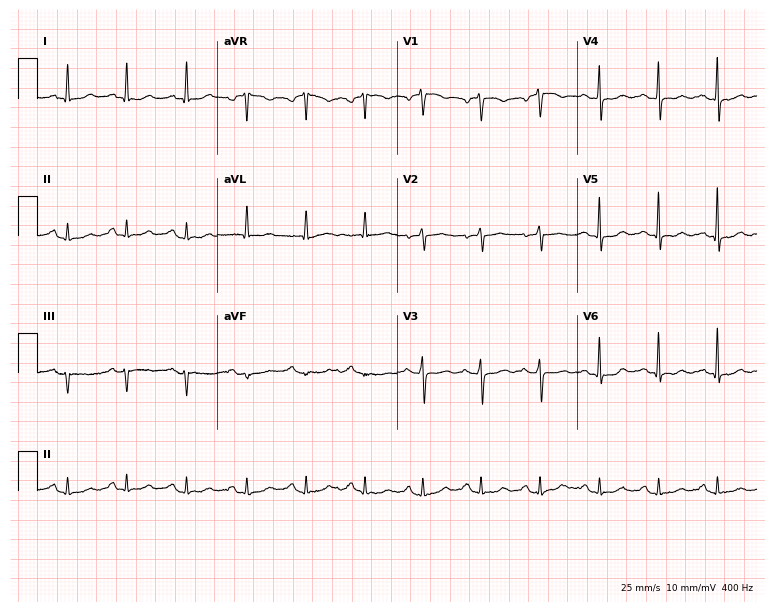
Electrocardiogram, a 59-year-old female. Of the six screened findings (first-degree AV block, right bundle branch block, left bundle branch block, sinus bradycardia, atrial fibrillation, sinus tachycardia), none is recorded.